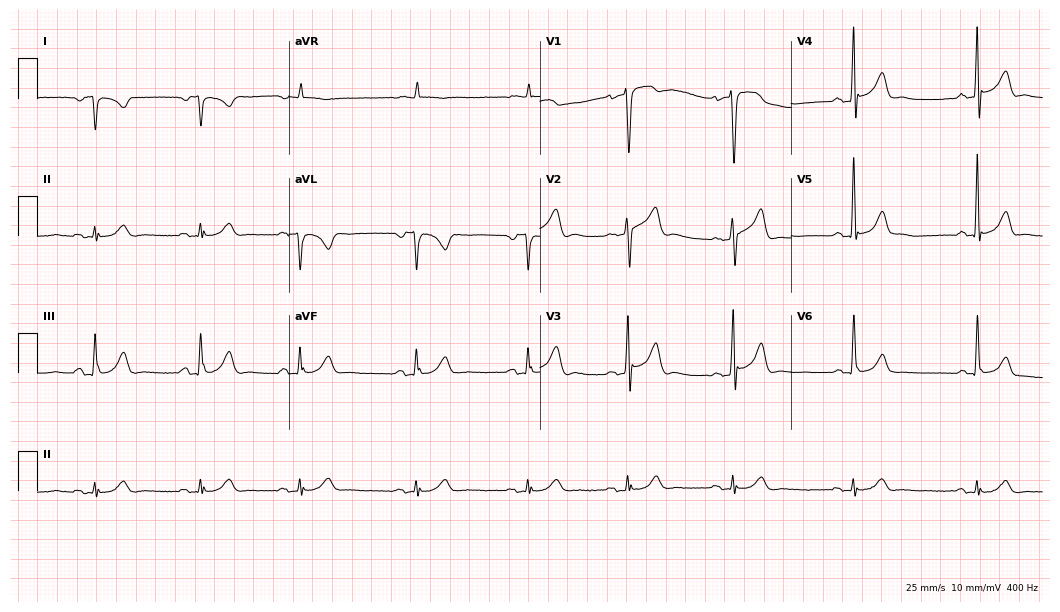
ECG (10.2-second recording at 400 Hz) — a 66-year-old man. Screened for six findings — first-degree AV block, right bundle branch block, left bundle branch block, sinus bradycardia, atrial fibrillation, sinus tachycardia — none is recorded. Only these six findings were labelled.